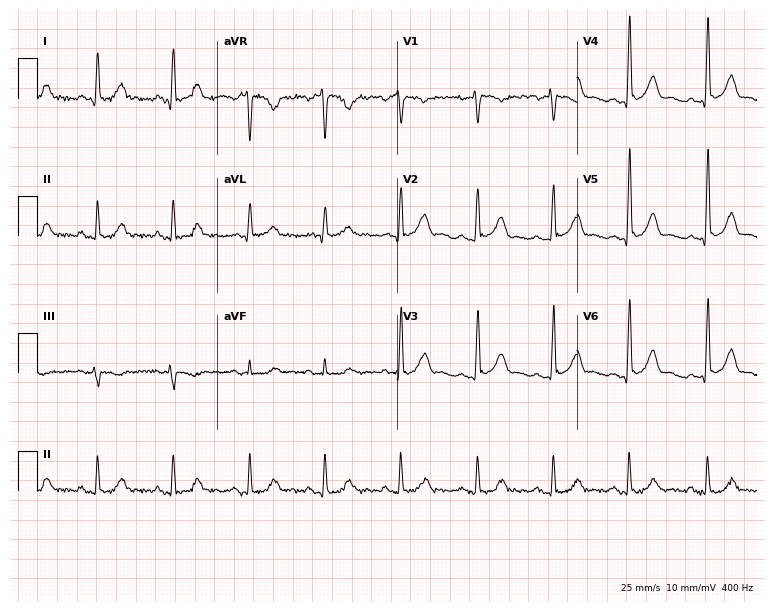
ECG — a 54-year-old man. Screened for six findings — first-degree AV block, right bundle branch block, left bundle branch block, sinus bradycardia, atrial fibrillation, sinus tachycardia — none is recorded. Other findings, if any, are not listed.